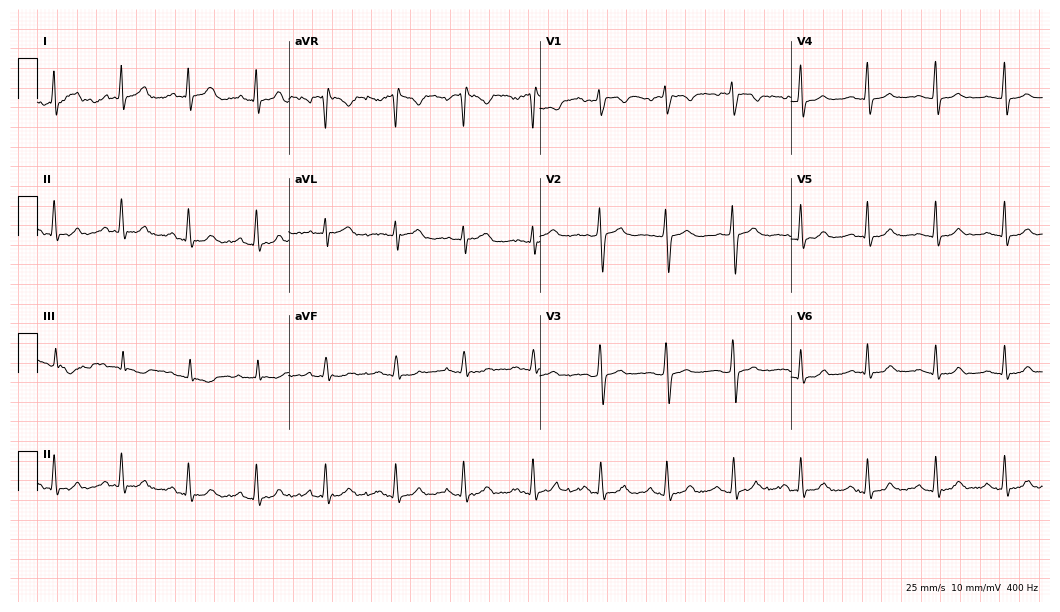
12-lead ECG (10.2-second recording at 400 Hz) from a female, 36 years old. Labelled as a normal ECG.